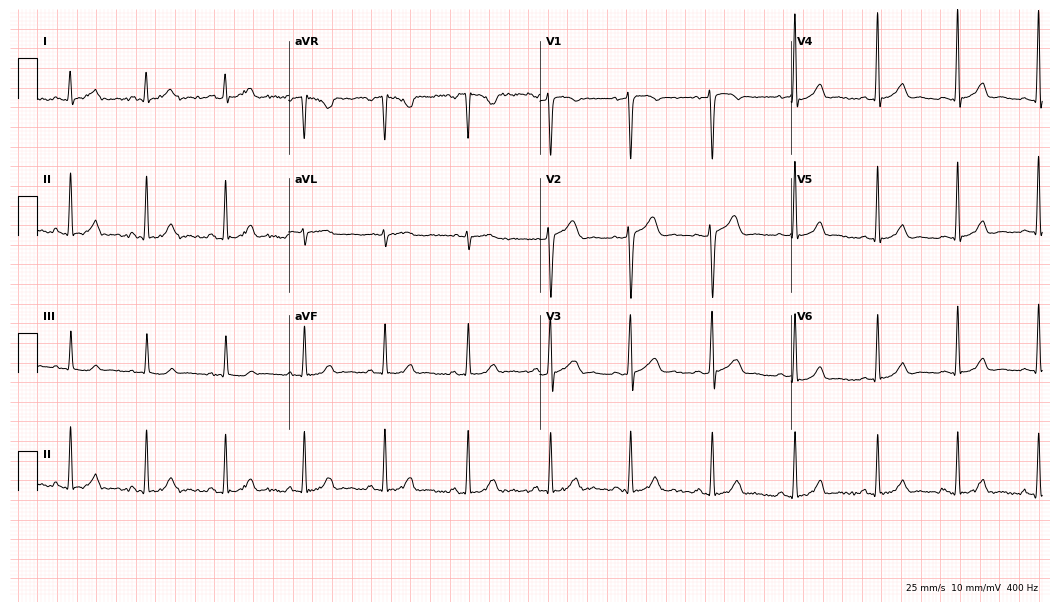
12-lead ECG from a 30-year-old male patient (10.2-second recording at 400 Hz). Recorded interpretation: within normal limits.